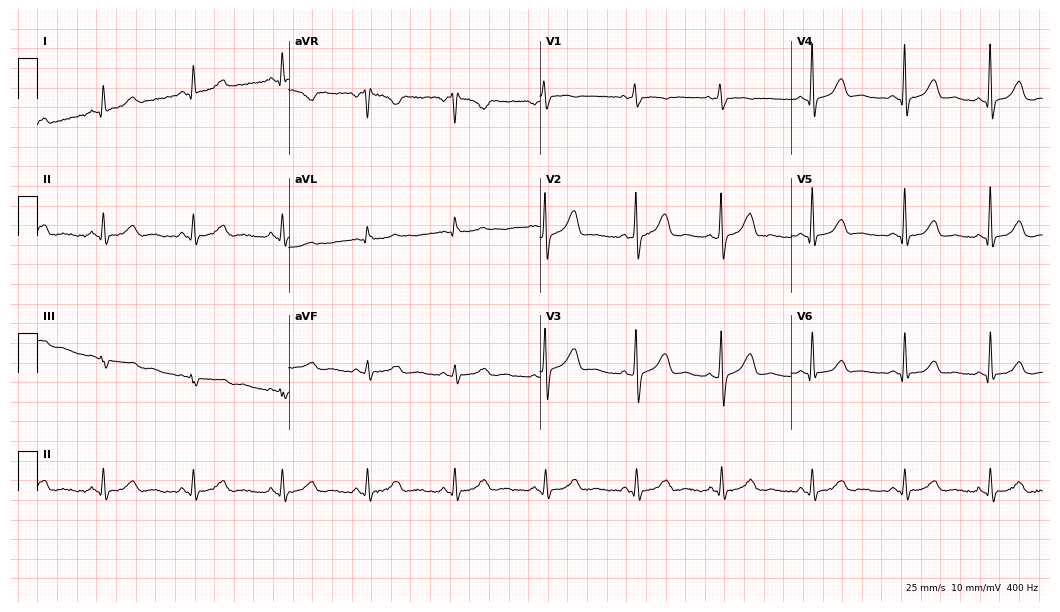
12-lead ECG from a female patient, 42 years old. Labelled as a normal ECG.